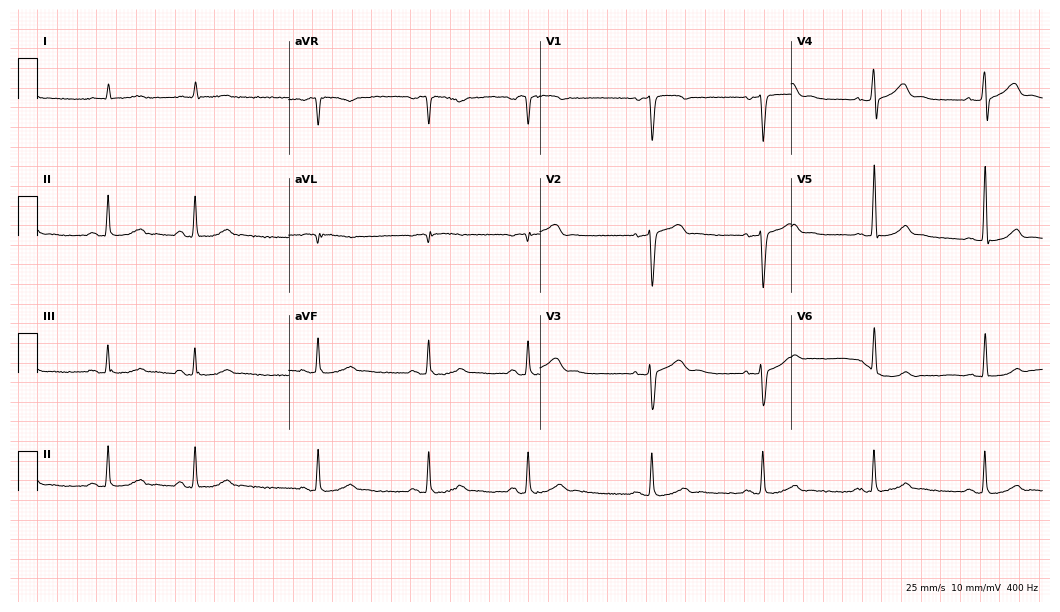
ECG — a 73-year-old man. Screened for six findings — first-degree AV block, right bundle branch block (RBBB), left bundle branch block (LBBB), sinus bradycardia, atrial fibrillation (AF), sinus tachycardia — none is recorded. Findings outside these six are not listed.